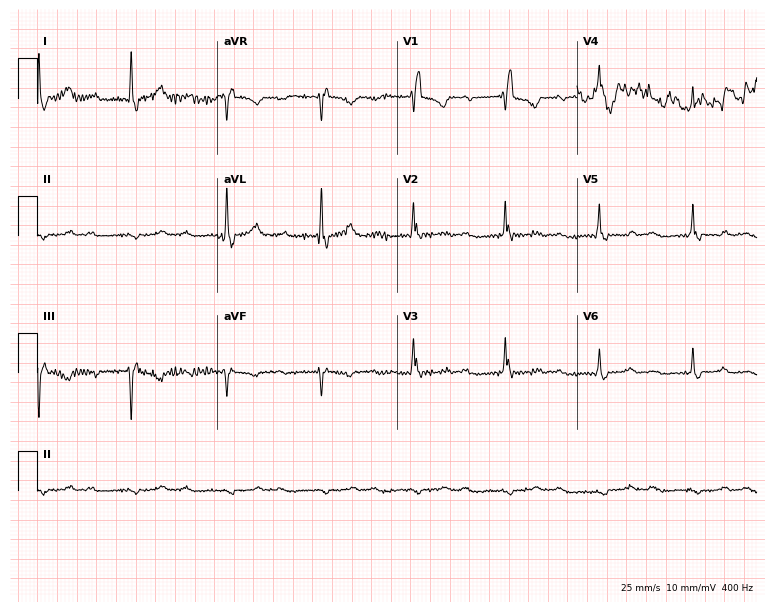
Standard 12-lead ECG recorded from a 73-year-old female patient. None of these six findings is recorded: first-degree AV block, right bundle branch block, left bundle branch block, sinus bradycardia, atrial fibrillation, sinus tachycardia.